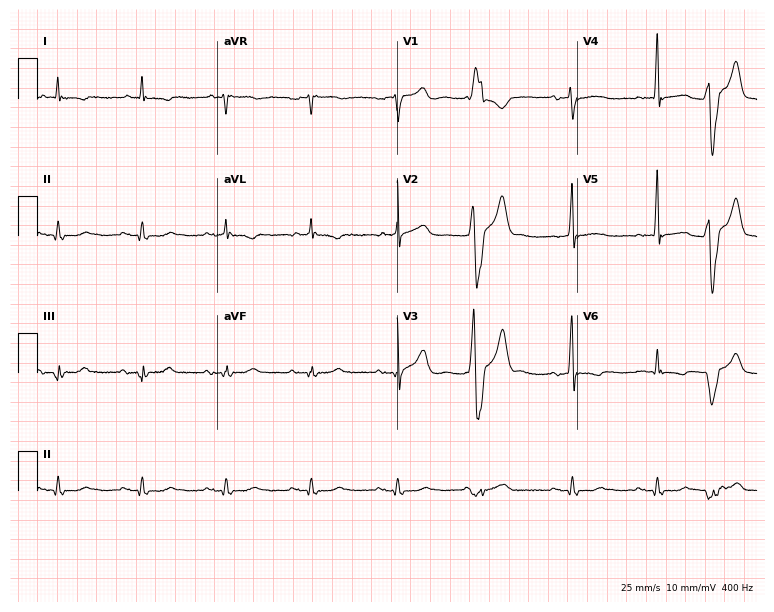
ECG — a 66-year-old male patient. Screened for six findings — first-degree AV block, right bundle branch block, left bundle branch block, sinus bradycardia, atrial fibrillation, sinus tachycardia — none is recorded. Only these six findings were labelled.